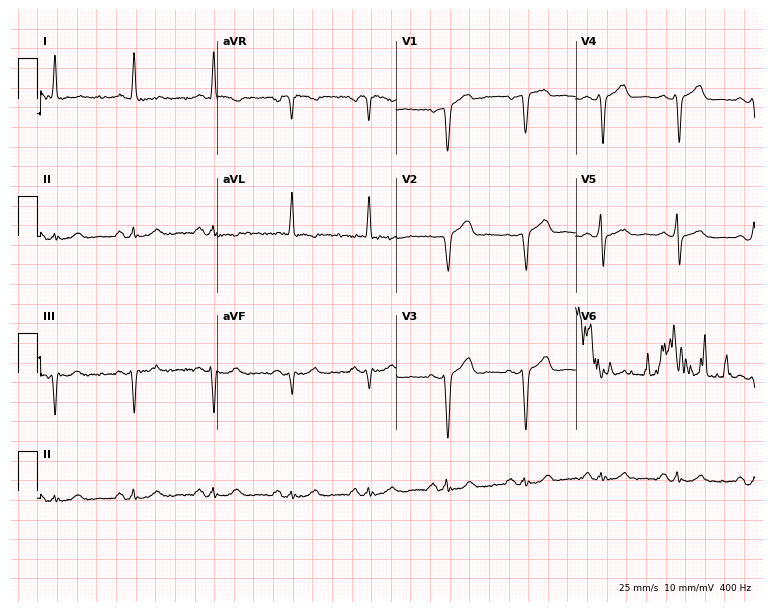
Resting 12-lead electrocardiogram (7.3-second recording at 400 Hz). Patient: a male, 74 years old. None of these six findings is recorded: first-degree AV block, right bundle branch block, left bundle branch block, sinus bradycardia, atrial fibrillation, sinus tachycardia.